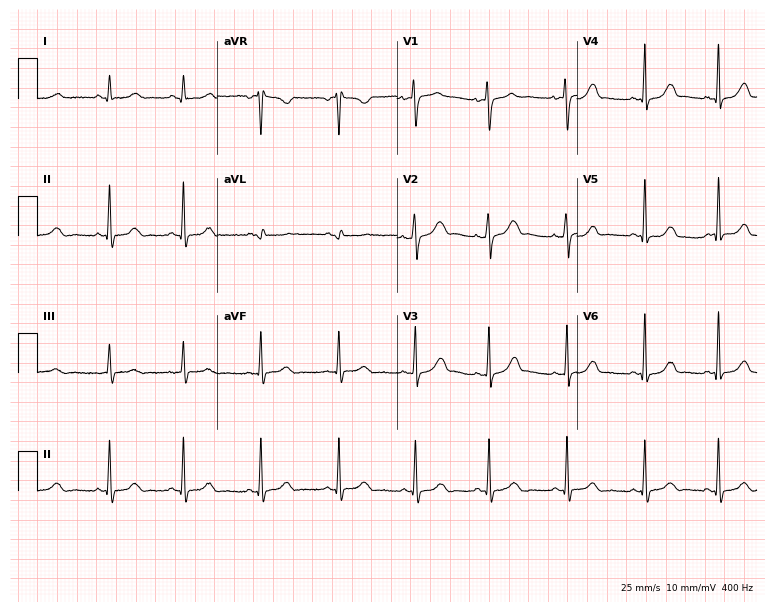
Resting 12-lead electrocardiogram (7.3-second recording at 400 Hz). Patient: a 36-year-old female. None of these six findings is recorded: first-degree AV block, right bundle branch block (RBBB), left bundle branch block (LBBB), sinus bradycardia, atrial fibrillation (AF), sinus tachycardia. Findings outside these six are not listed.